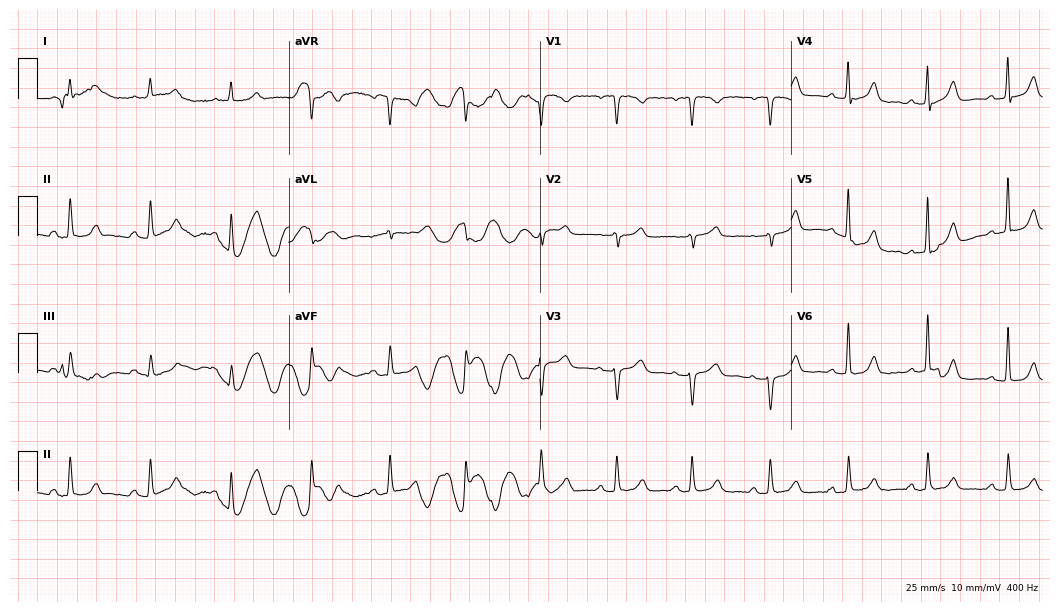
Standard 12-lead ECG recorded from a 67-year-old female patient. Read as a normal ECG.